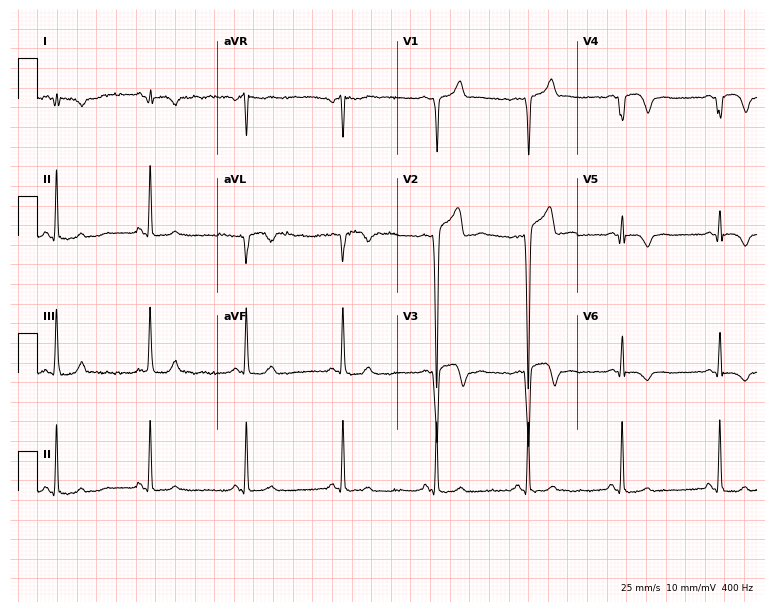
12-lead ECG (7.3-second recording at 400 Hz) from a man, 35 years old. Screened for six findings — first-degree AV block, right bundle branch block (RBBB), left bundle branch block (LBBB), sinus bradycardia, atrial fibrillation (AF), sinus tachycardia — none is recorded. Other findings, if any, are not listed.